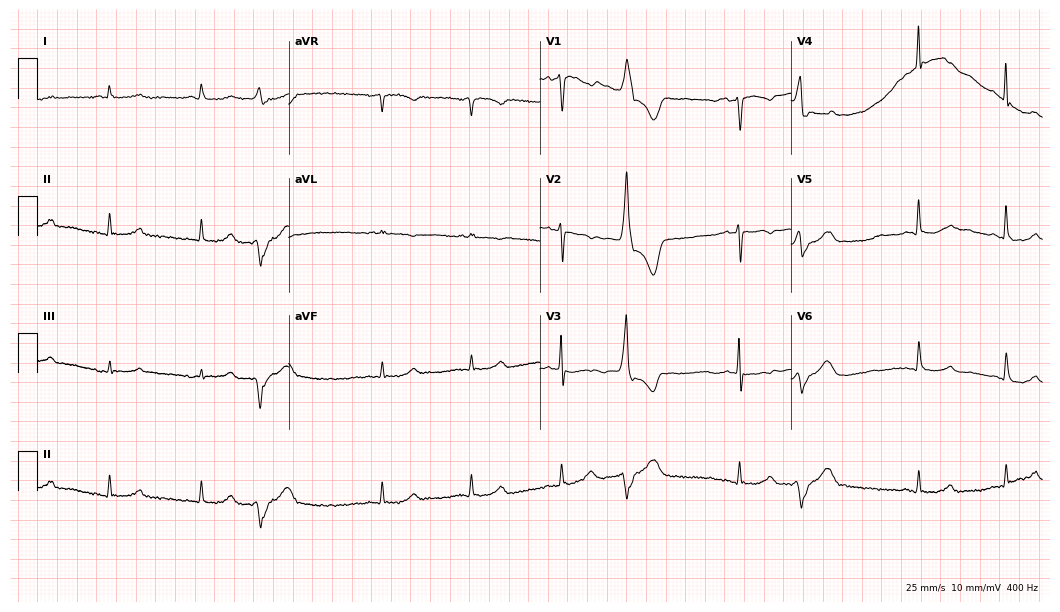
Resting 12-lead electrocardiogram. Patient: a male, 65 years old. Read as a normal ECG.